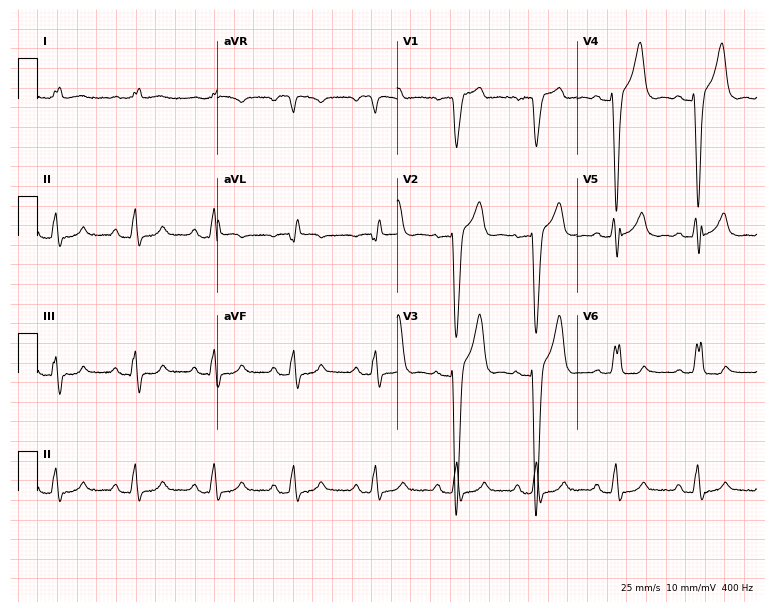
12-lead ECG from a 60-year-old man (7.3-second recording at 400 Hz). Shows left bundle branch block.